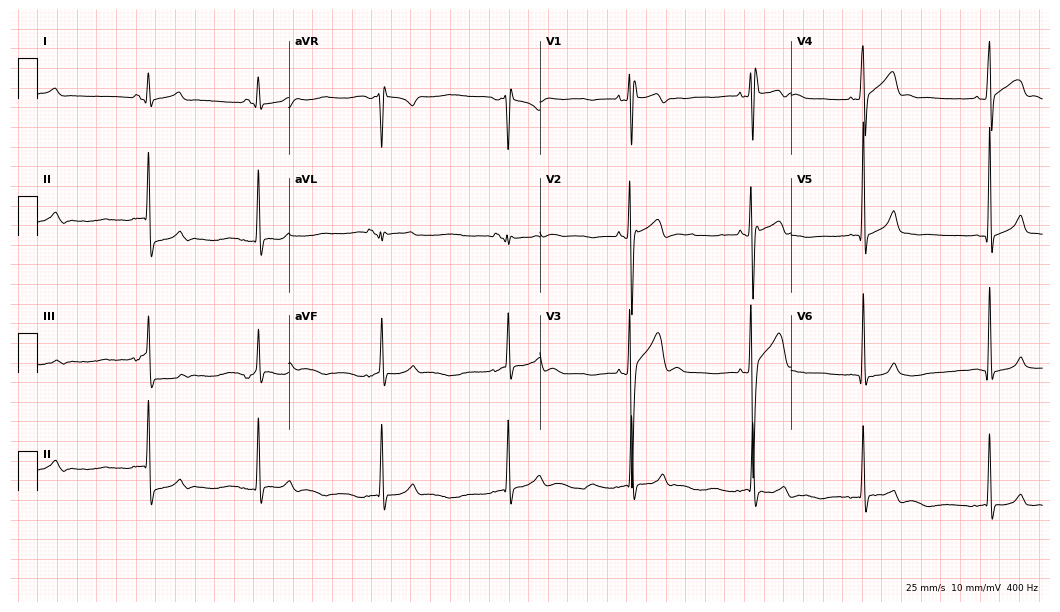
ECG (10.2-second recording at 400 Hz) — a 21-year-old male patient. Screened for six findings — first-degree AV block, right bundle branch block, left bundle branch block, sinus bradycardia, atrial fibrillation, sinus tachycardia — none is recorded. Only these six findings were labelled.